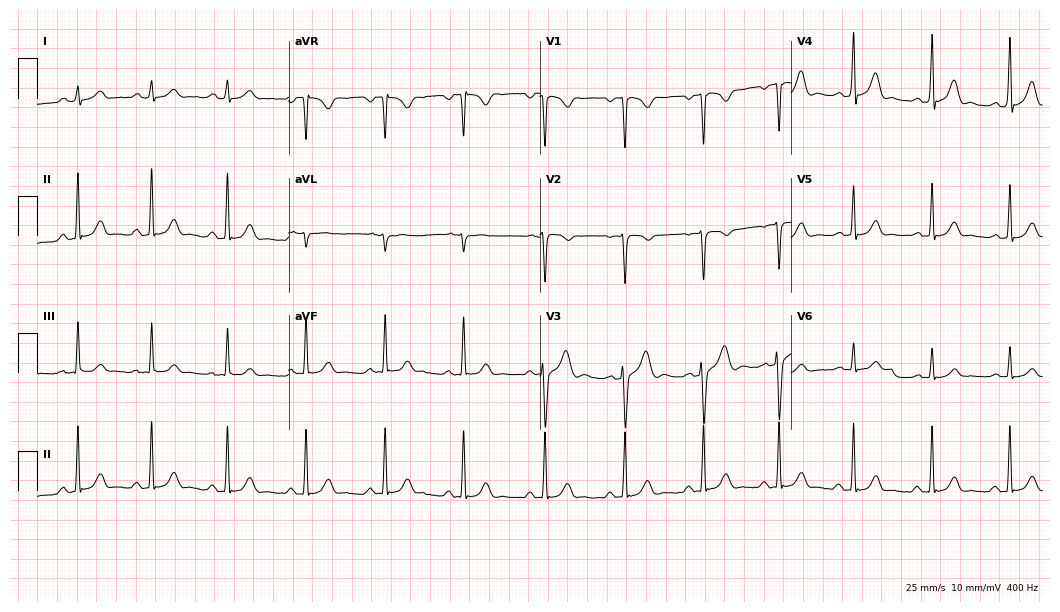
12-lead ECG from a man, 37 years old (10.2-second recording at 400 Hz). No first-degree AV block, right bundle branch block, left bundle branch block, sinus bradycardia, atrial fibrillation or sinus tachycardia recorded for this tracing.